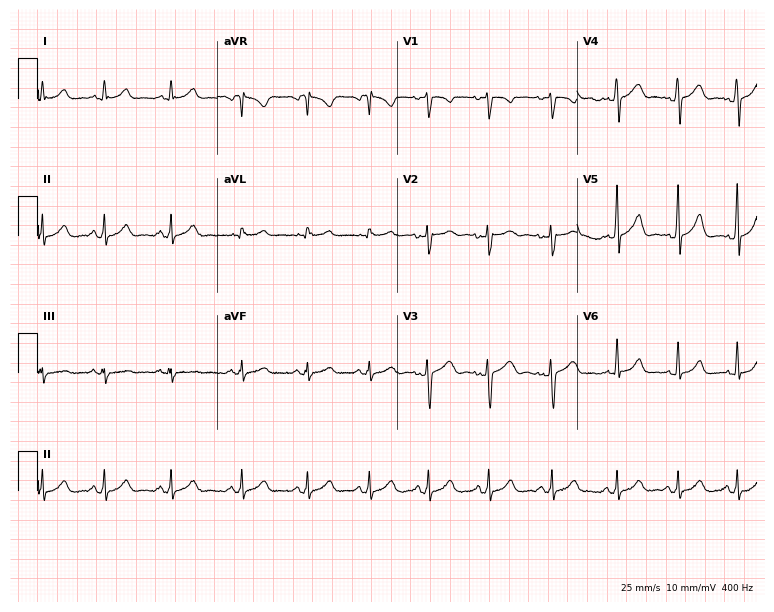
ECG — a female patient, 19 years old. Labelled as a normal ECG.